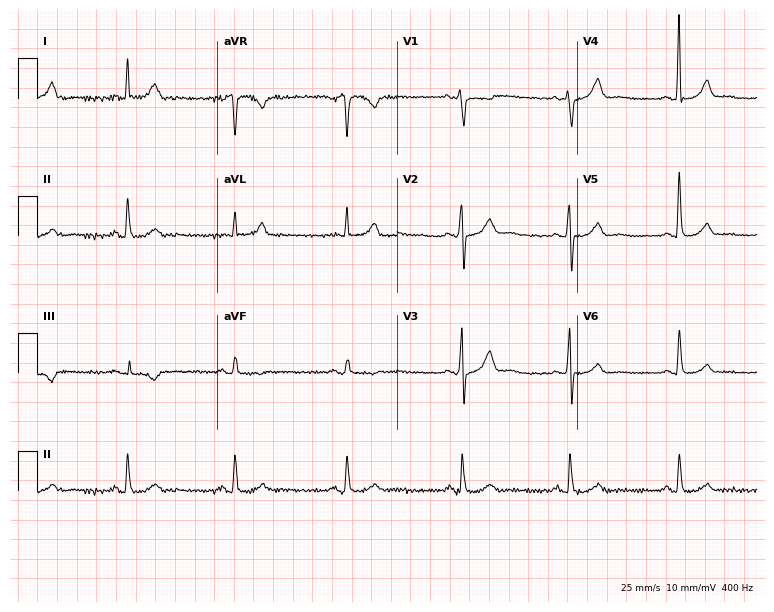
Resting 12-lead electrocardiogram (7.3-second recording at 400 Hz). Patient: a male, 46 years old. Read as a normal ECG.